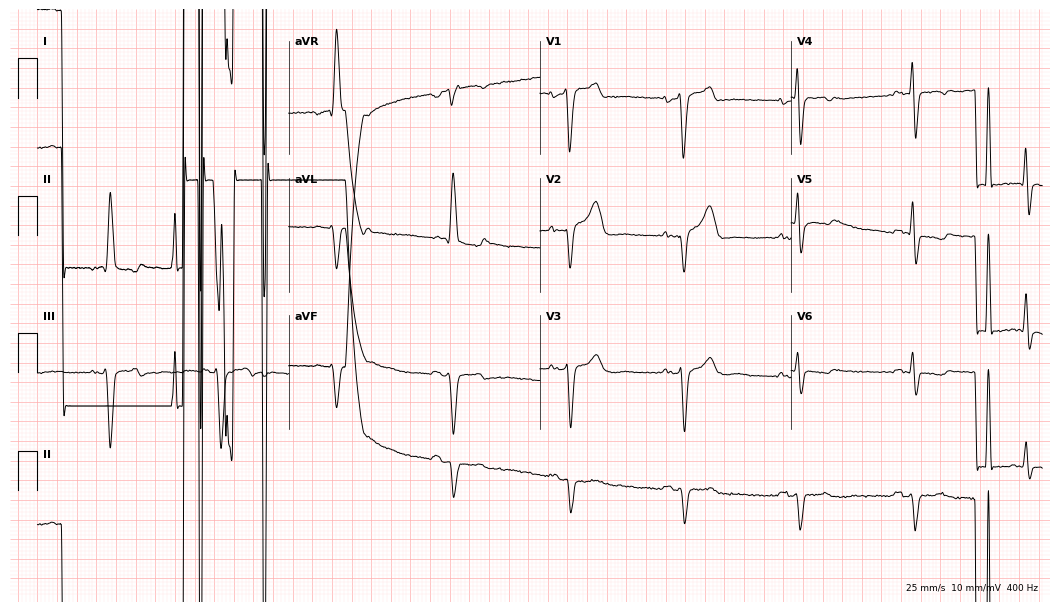
Resting 12-lead electrocardiogram. Patient: a 73-year-old male. The tracing shows atrial fibrillation.